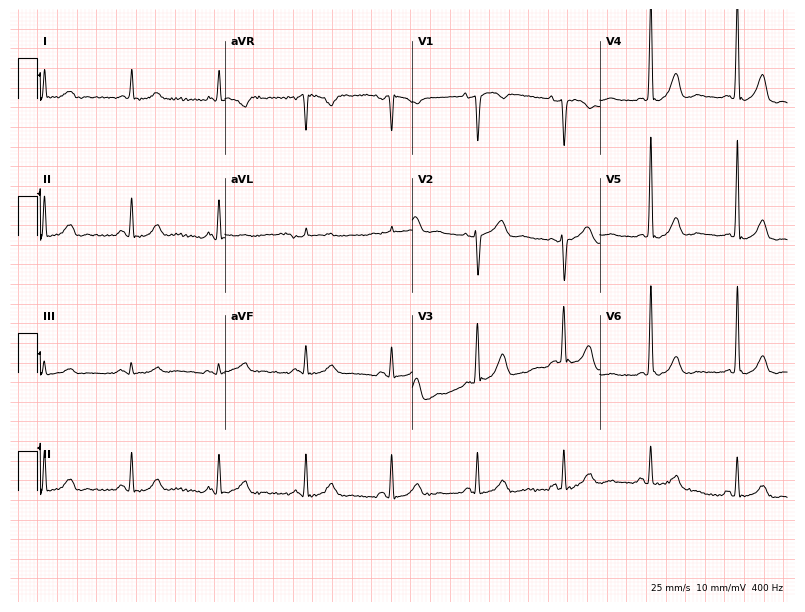
12-lead ECG (7.6-second recording at 400 Hz) from a female patient, 69 years old. Labelled as a normal ECG.